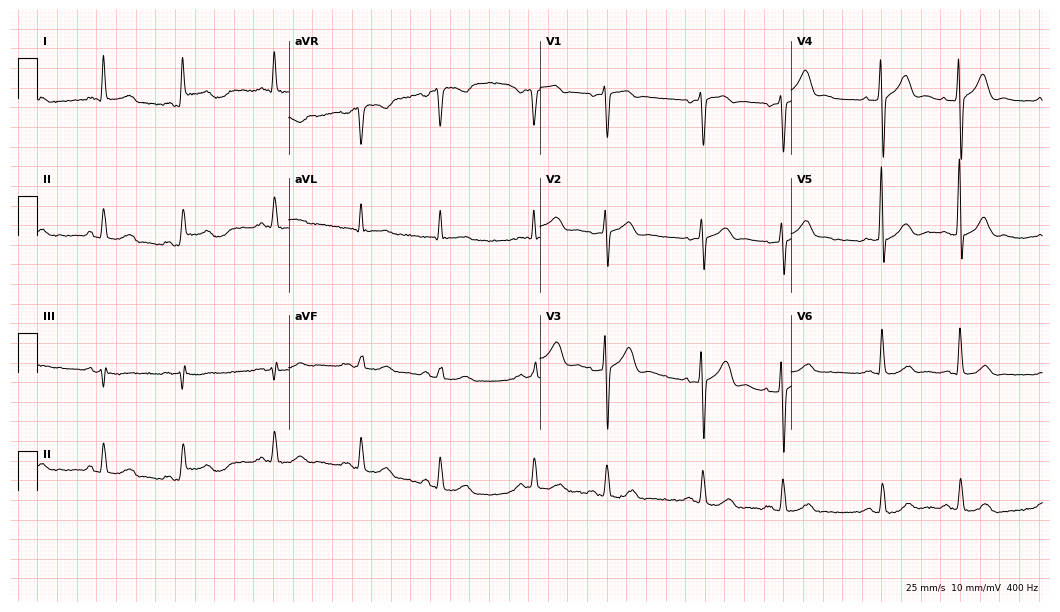
ECG — a male patient, 73 years old. Labelled as a normal ECG.